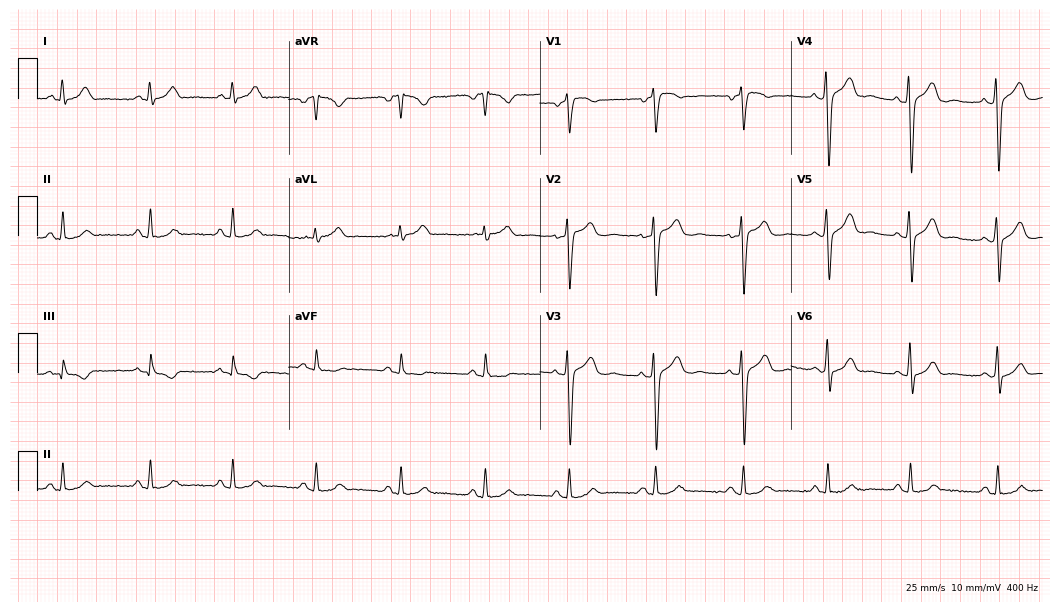
12-lead ECG from a 55-year-old male. Recorded interpretation: within normal limits.